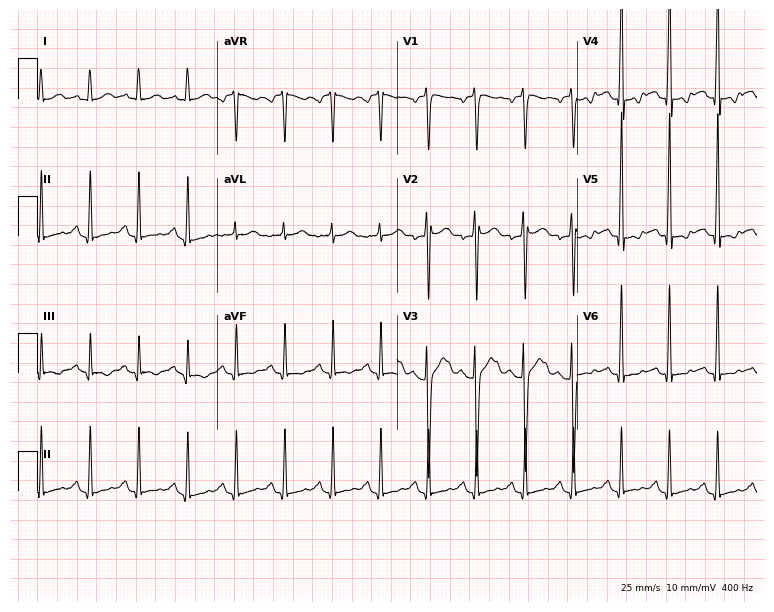
Standard 12-lead ECG recorded from a 23-year-old female patient. The tracing shows sinus tachycardia (a sinus rate of 100 beats per minute or more).